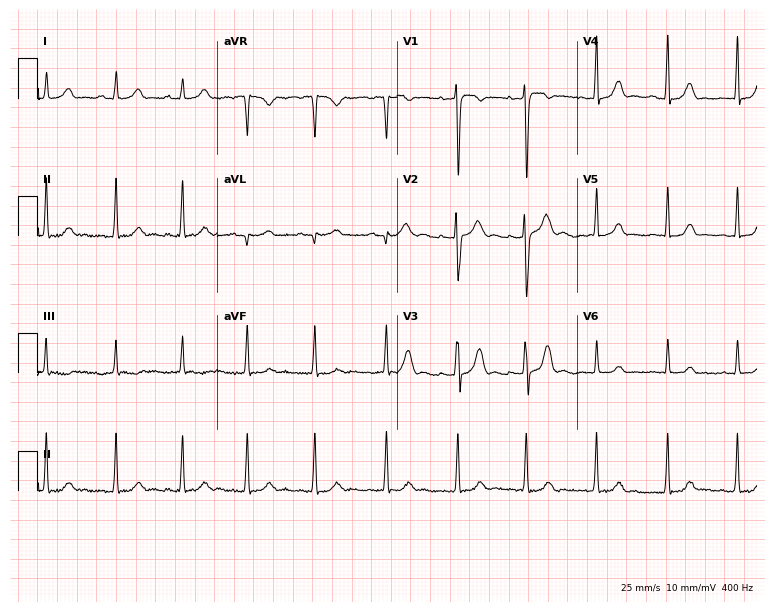
Standard 12-lead ECG recorded from a 19-year-old woman. Read as a normal ECG.